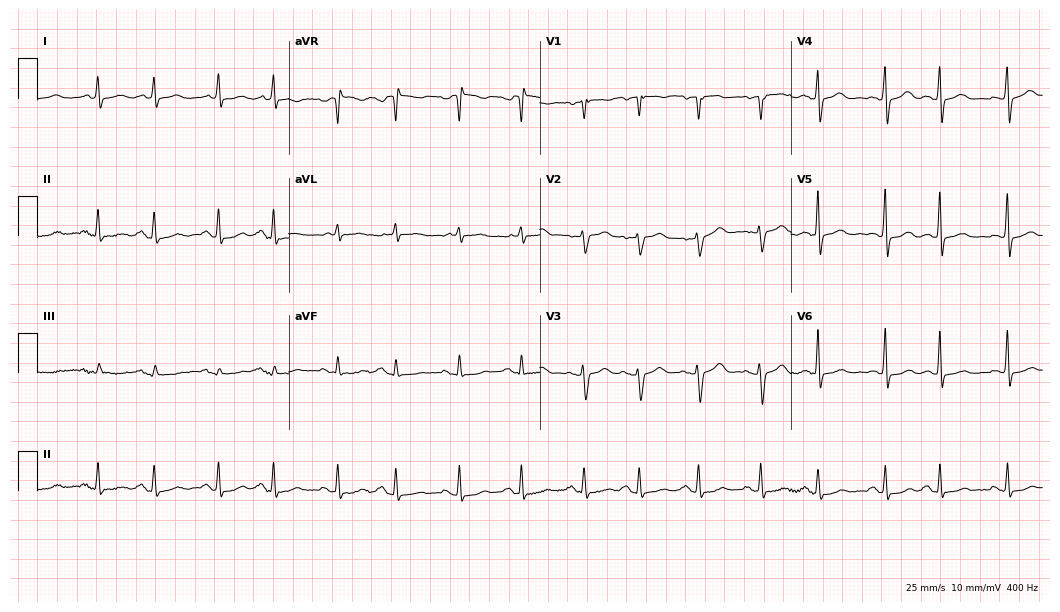
Resting 12-lead electrocardiogram (10.2-second recording at 400 Hz). Patient: an 82-year-old female. None of these six findings is recorded: first-degree AV block, right bundle branch block, left bundle branch block, sinus bradycardia, atrial fibrillation, sinus tachycardia. Only these six findings were labelled.